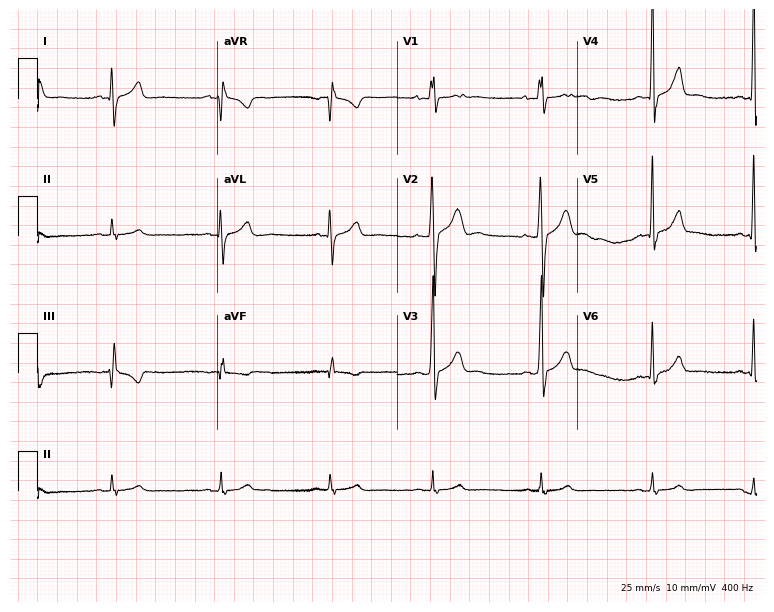
ECG (7.3-second recording at 400 Hz) — an 18-year-old man. Screened for six findings — first-degree AV block, right bundle branch block, left bundle branch block, sinus bradycardia, atrial fibrillation, sinus tachycardia — none is recorded. Only these six findings were labelled.